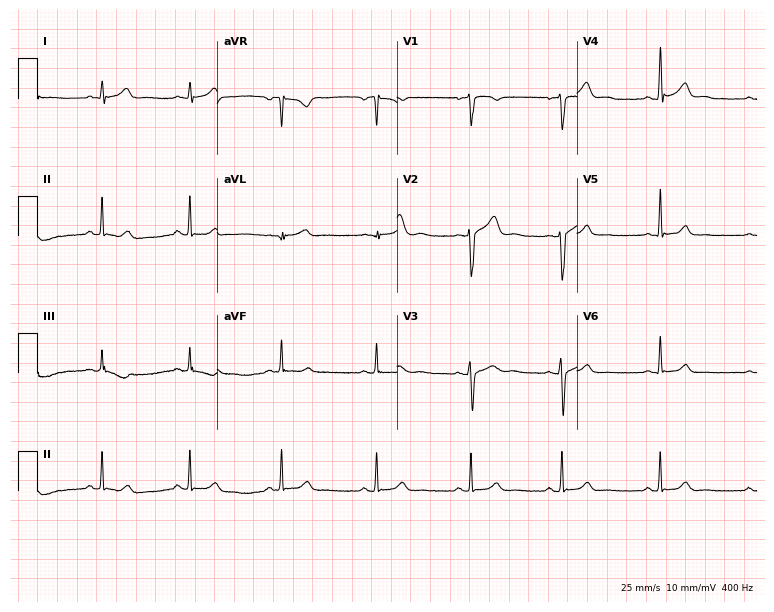
Resting 12-lead electrocardiogram. Patient: a male, 23 years old. Read as a normal ECG.